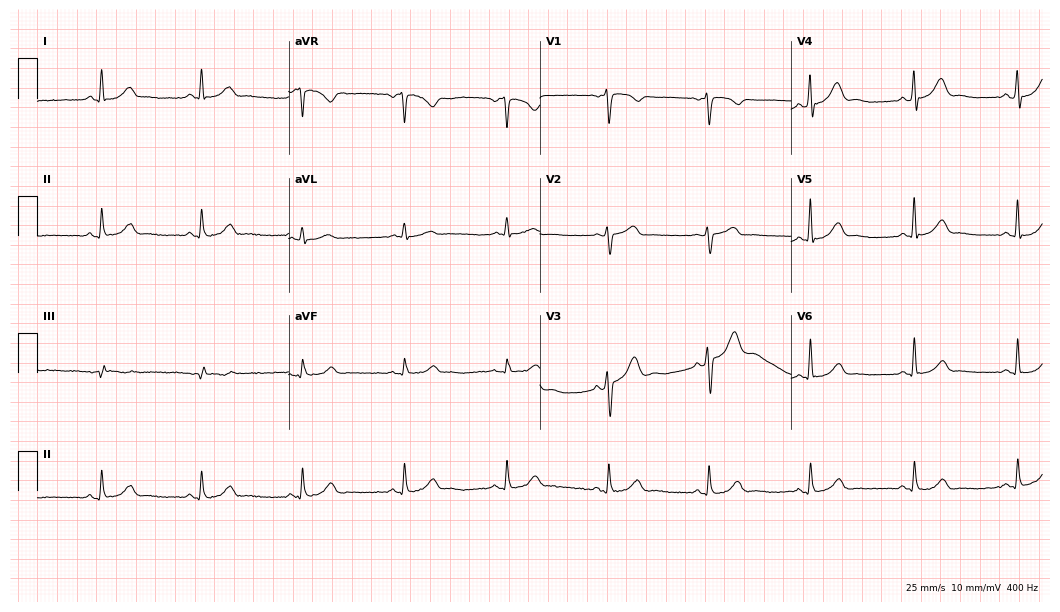
ECG (10.2-second recording at 400 Hz) — a 55-year-old male. Labelled as a normal ECG.